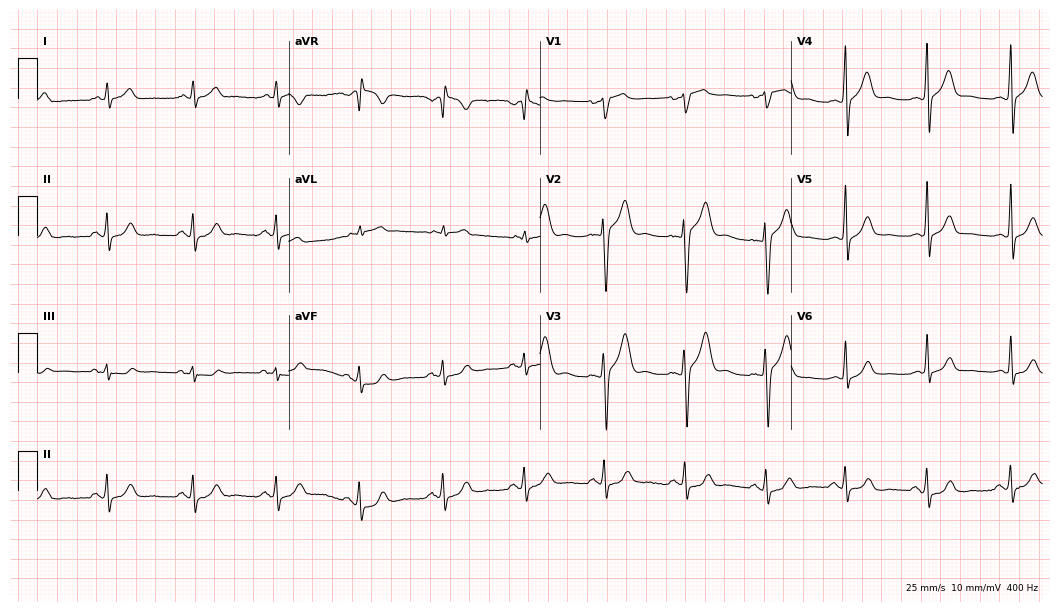
Standard 12-lead ECG recorded from a man, 43 years old. Read as a normal ECG.